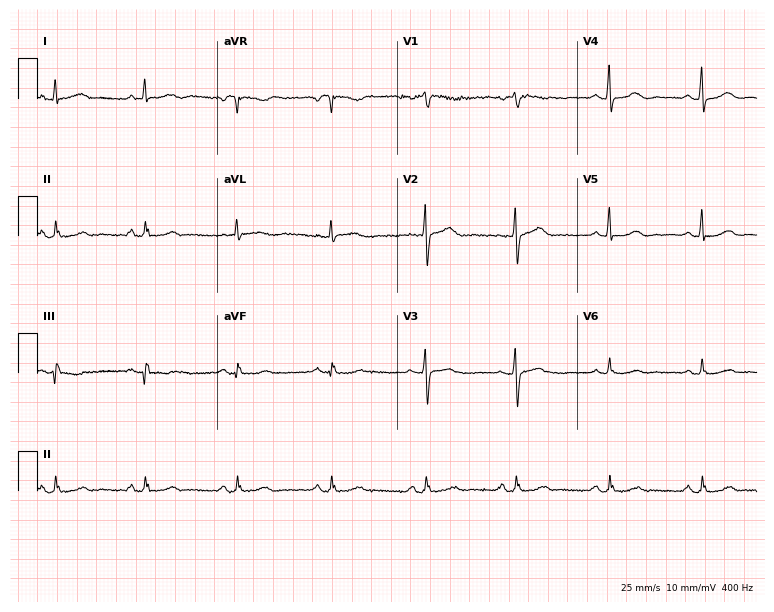
Standard 12-lead ECG recorded from a 70-year-old female (7.3-second recording at 400 Hz). None of these six findings is recorded: first-degree AV block, right bundle branch block, left bundle branch block, sinus bradycardia, atrial fibrillation, sinus tachycardia.